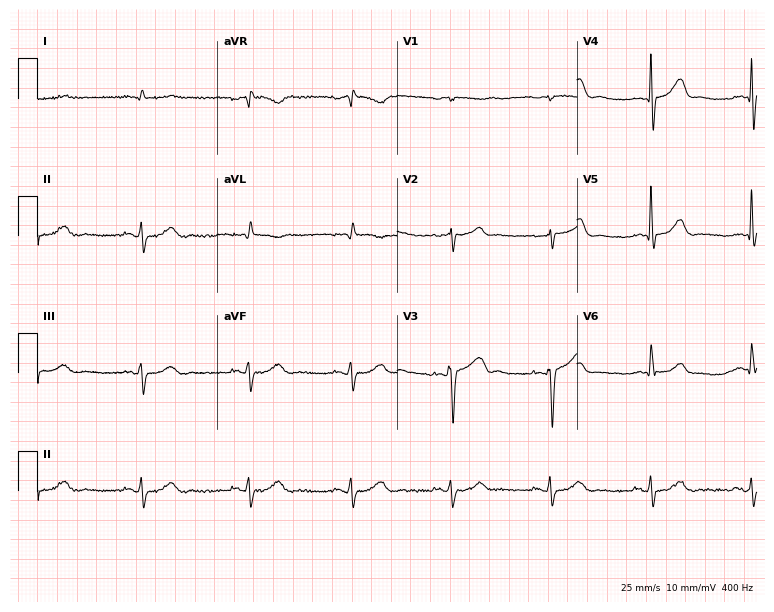
Electrocardiogram, a 66-year-old male. Of the six screened findings (first-degree AV block, right bundle branch block, left bundle branch block, sinus bradycardia, atrial fibrillation, sinus tachycardia), none is recorded.